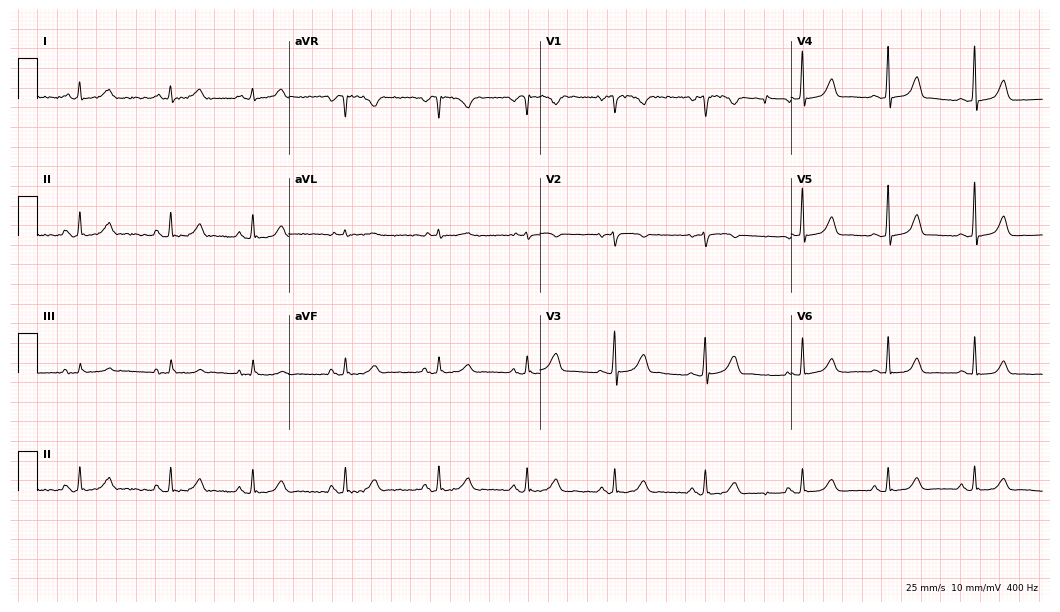
Resting 12-lead electrocardiogram. Patient: a 25-year-old woman. Read as a normal ECG.